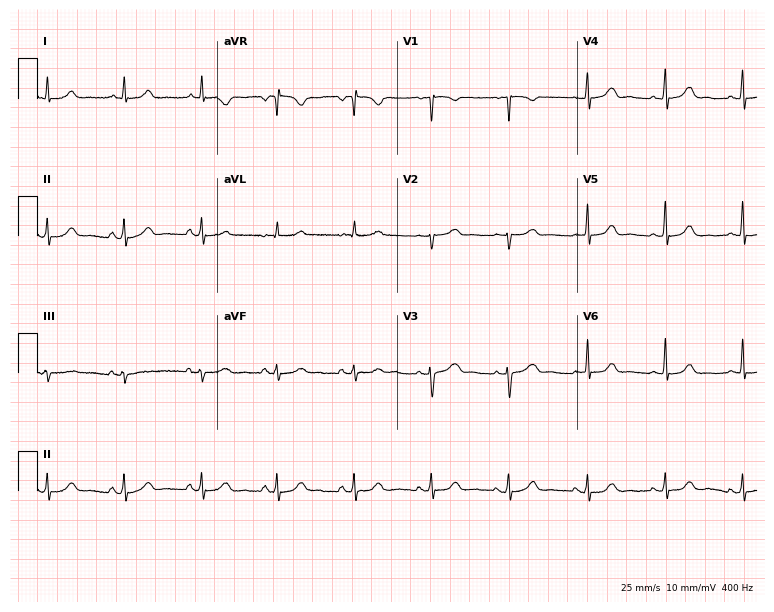
Electrocardiogram (7.3-second recording at 400 Hz), a 35-year-old woman. Overall reading on record: normal ECG.